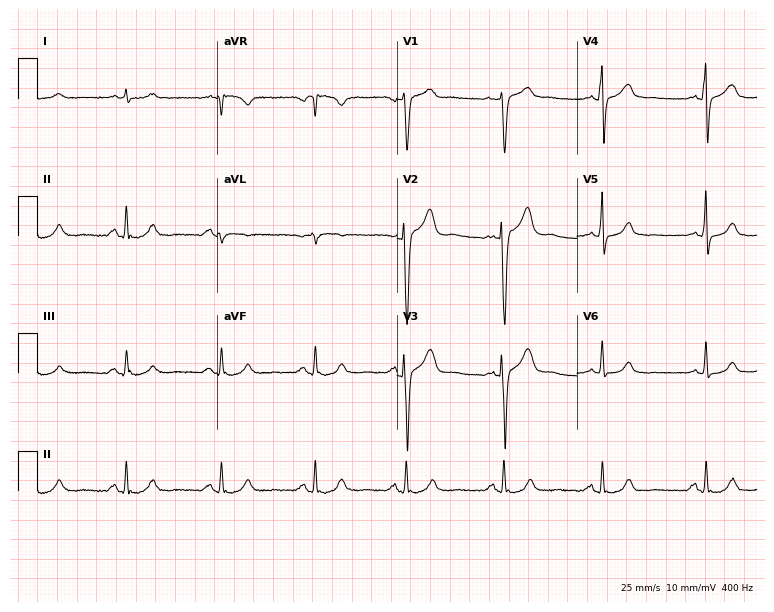
Resting 12-lead electrocardiogram. Patient: a man, 56 years old. Read as a normal ECG.